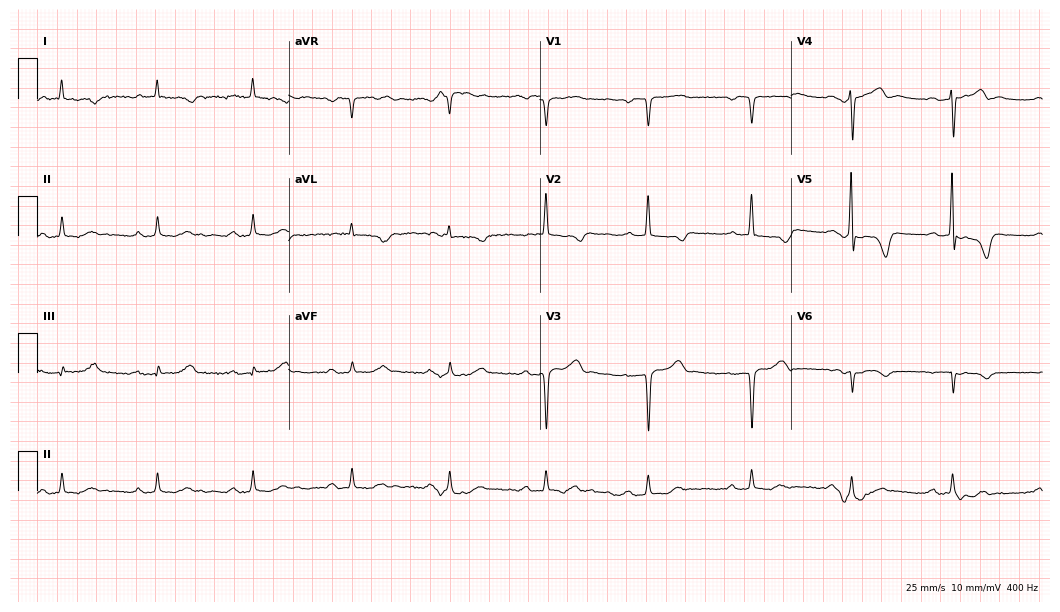
ECG (10.2-second recording at 400 Hz) — a male patient, 64 years old. Screened for six findings — first-degree AV block, right bundle branch block (RBBB), left bundle branch block (LBBB), sinus bradycardia, atrial fibrillation (AF), sinus tachycardia — none is recorded.